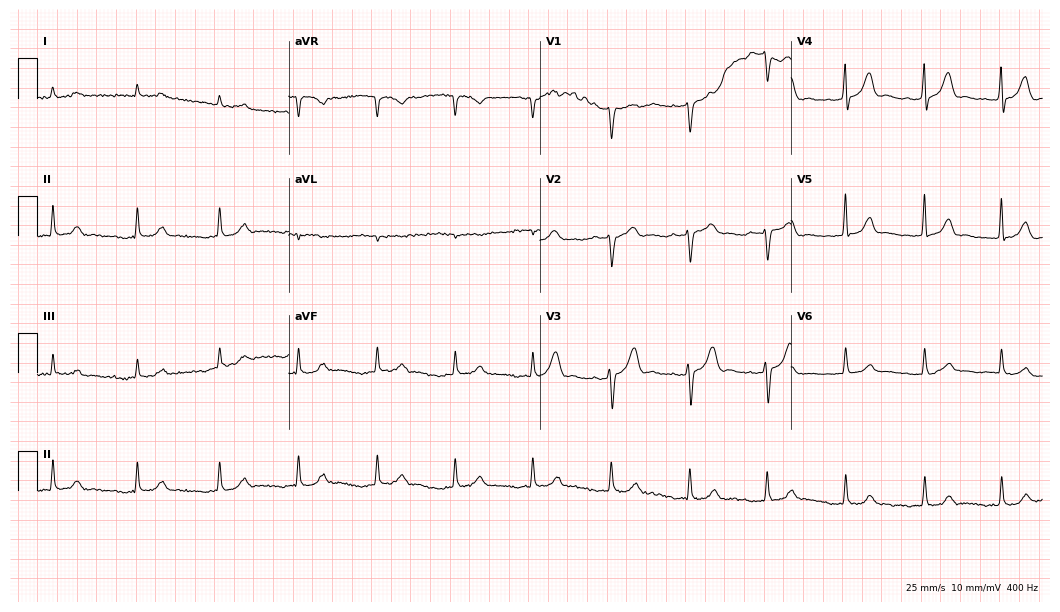
ECG — a man, 82 years old. Findings include atrial fibrillation.